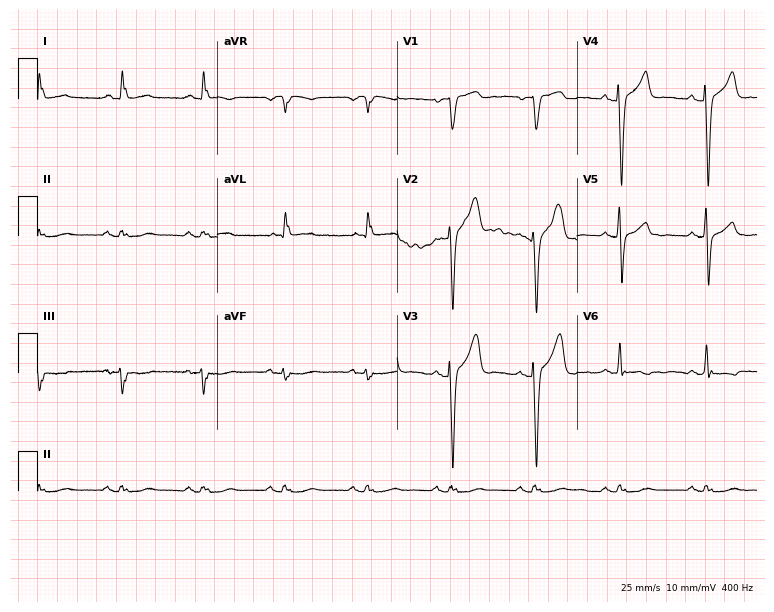
12-lead ECG from a male, 64 years old (7.3-second recording at 400 Hz). Recorded interpretation: within normal limits.